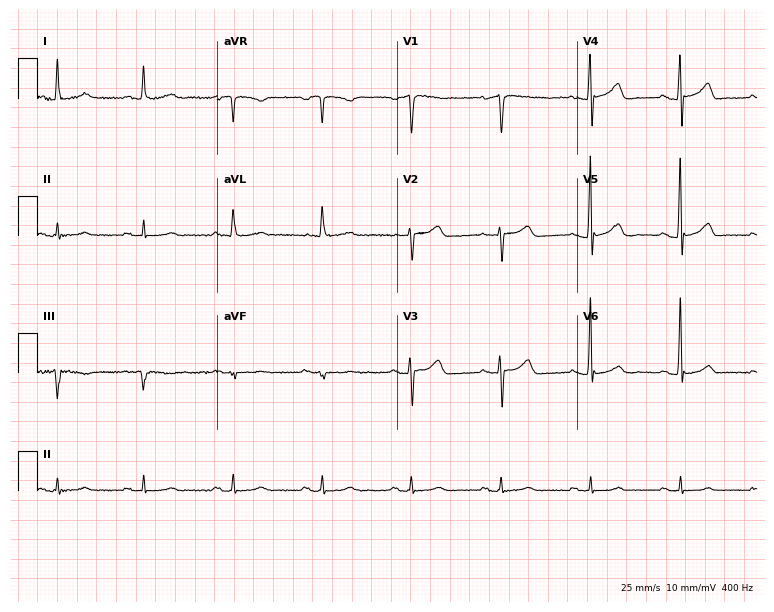
12-lead ECG from a man, 70 years old. Labelled as a normal ECG.